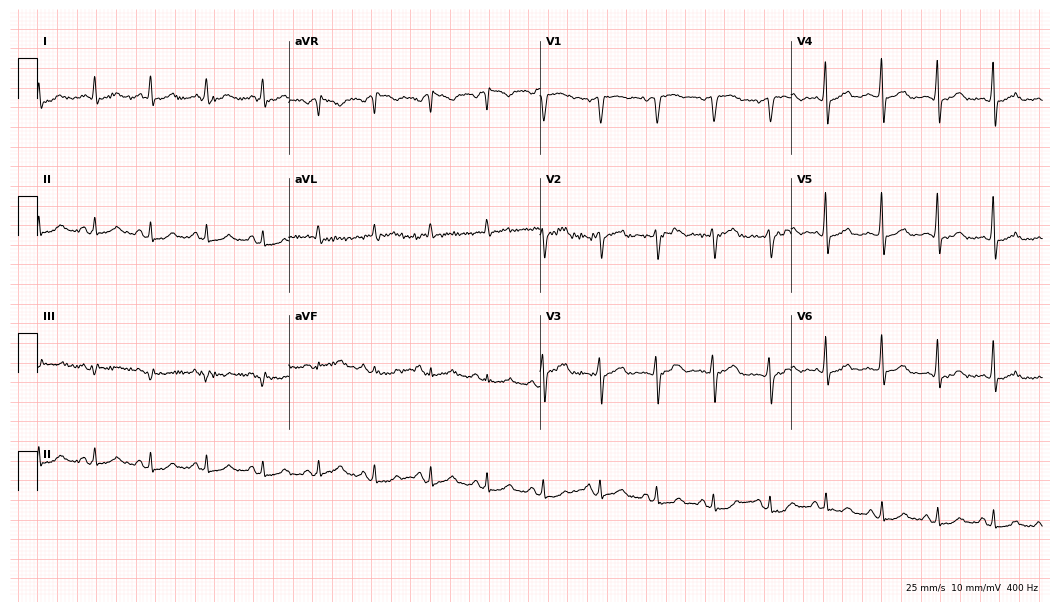
ECG (10.2-second recording at 400 Hz) — a 53-year-old man. Screened for six findings — first-degree AV block, right bundle branch block, left bundle branch block, sinus bradycardia, atrial fibrillation, sinus tachycardia — none is recorded. Only these six findings were labelled.